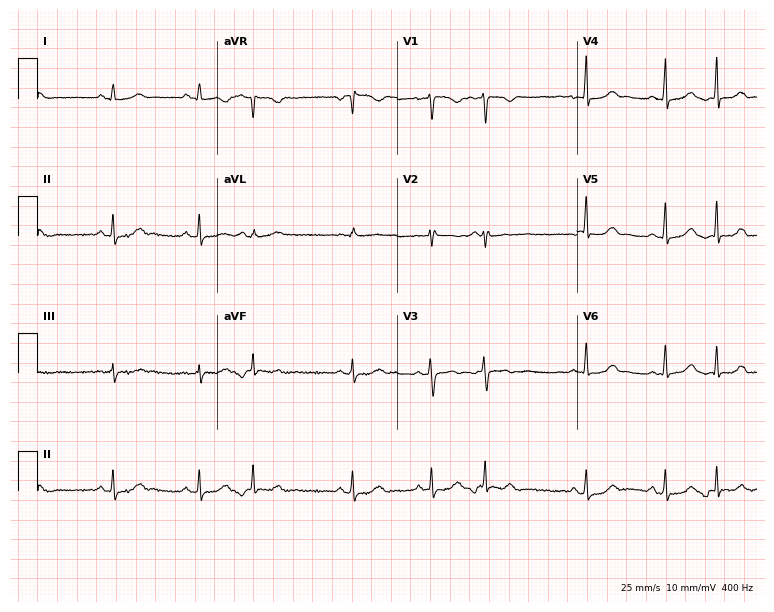
Electrocardiogram (7.3-second recording at 400 Hz), a female patient, 18 years old. Of the six screened findings (first-degree AV block, right bundle branch block, left bundle branch block, sinus bradycardia, atrial fibrillation, sinus tachycardia), none is recorded. Findings outside these six are not listed.